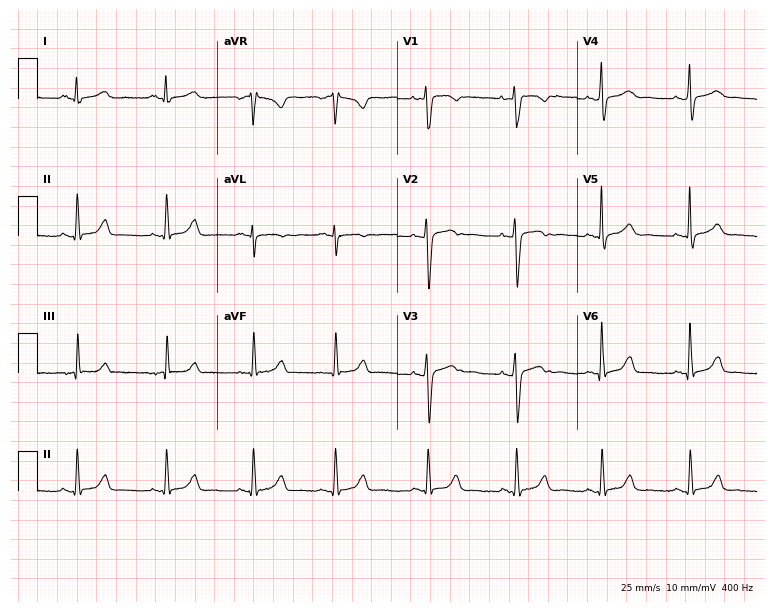
ECG — a female, 29 years old. Labelled as a normal ECG.